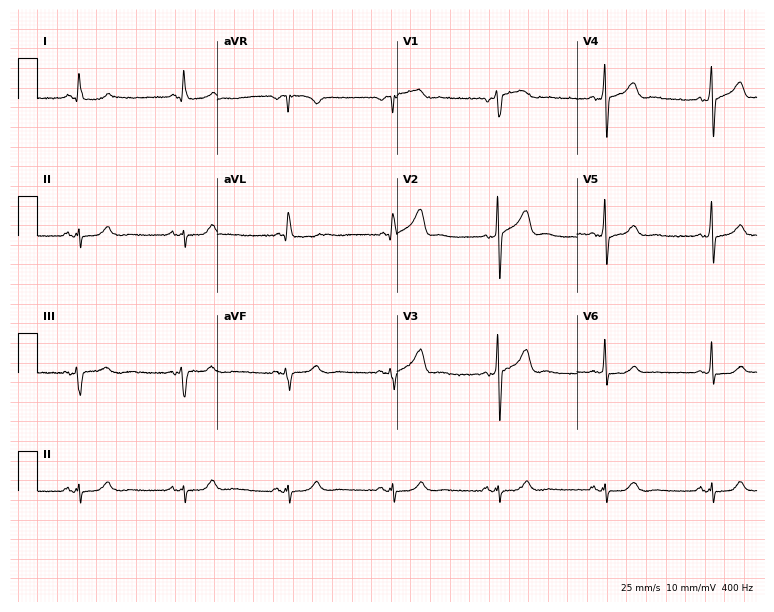
12-lead ECG from a 73-year-old male patient. Screened for six findings — first-degree AV block, right bundle branch block, left bundle branch block, sinus bradycardia, atrial fibrillation, sinus tachycardia — none is recorded.